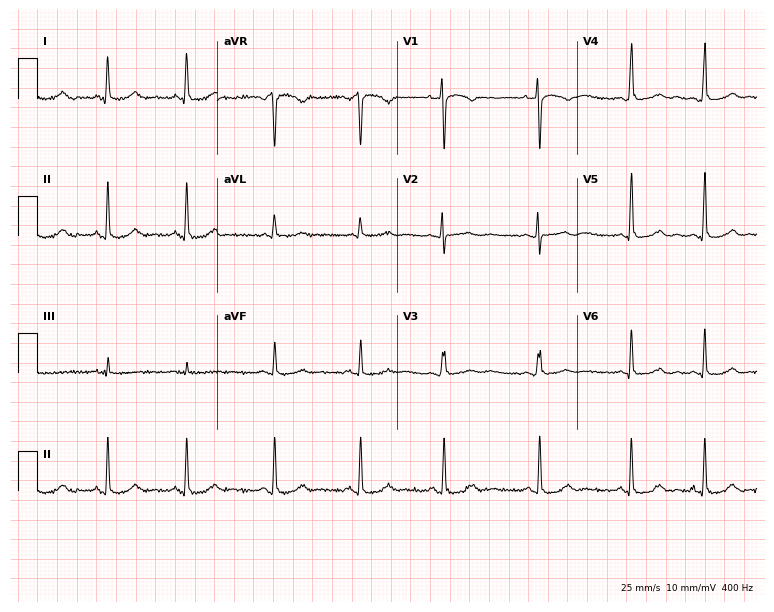
Standard 12-lead ECG recorded from a woman, 33 years old (7.3-second recording at 400 Hz). None of these six findings is recorded: first-degree AV block, right bundle branch block, left bundle branch block, sinus bradycardia, atrial fibrillation, sinus tachycardia.